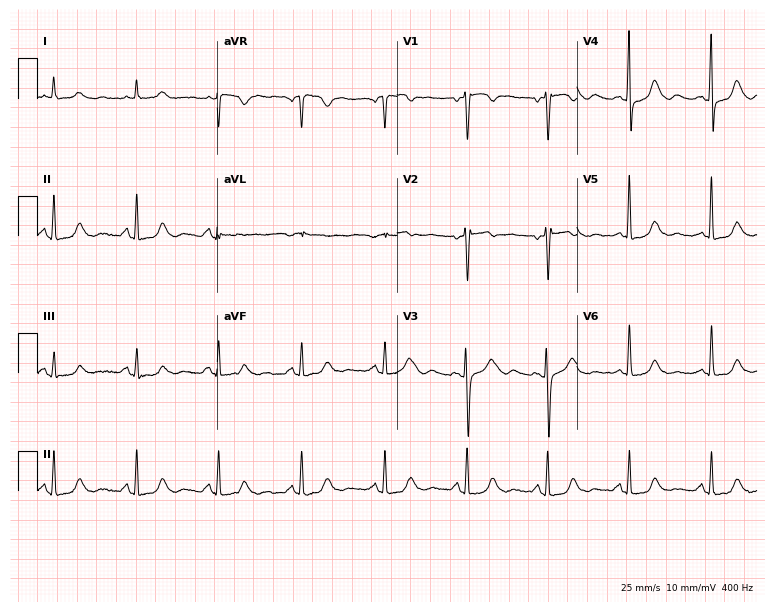
Standard 12-lead ECG recorded from a woman, 69 years old. Read as a normal ECG.